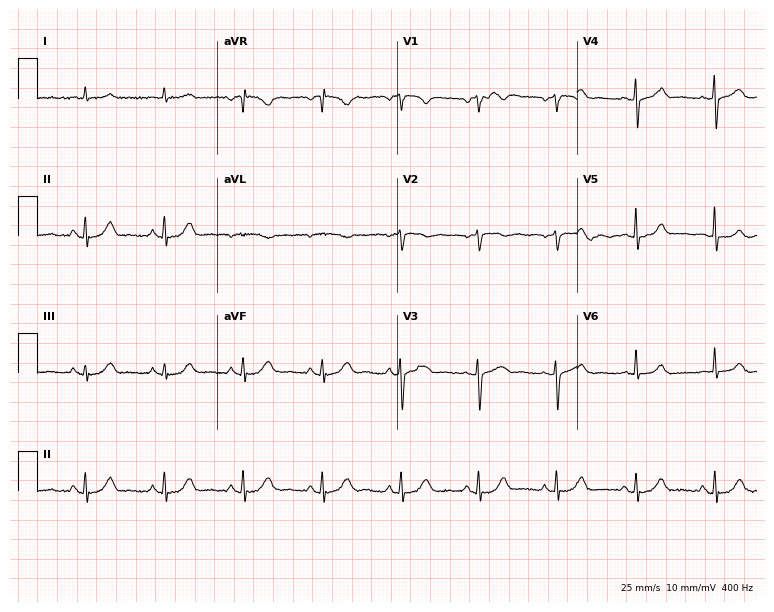
Electrocardiogram, a 79-year-old male. Of the six screened findings (first-degree AV block, right bundle branch block, left bundle branch block, sinus bradycardia, atrial fibrillation, sinus tachycardia), none is recorded.